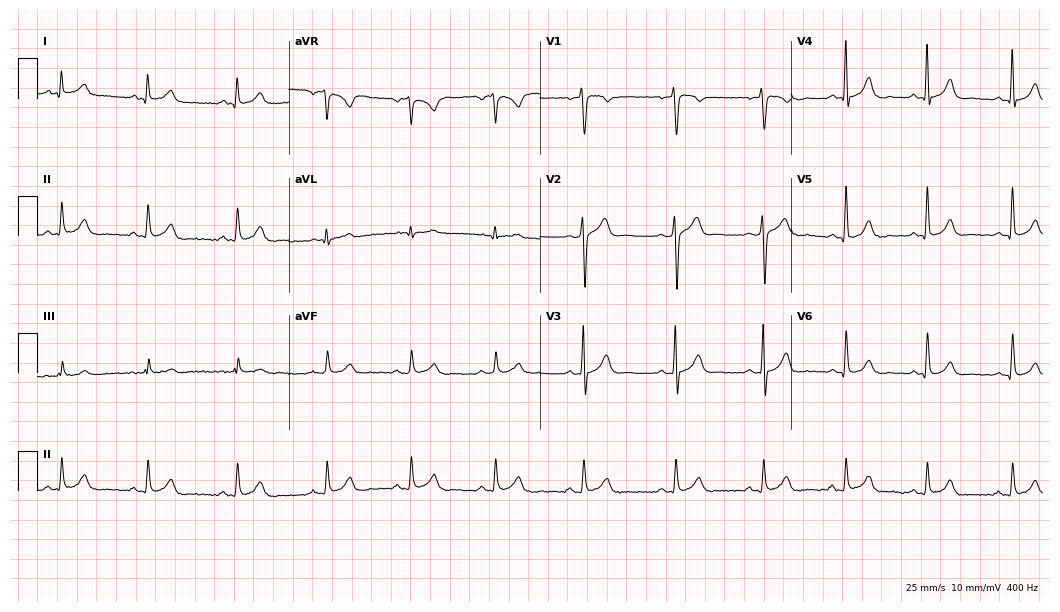
Electrocardiogram (10.2-second recording at 400 Hz), a male patient, 35 years old. Overall reading on record: normal ECG.